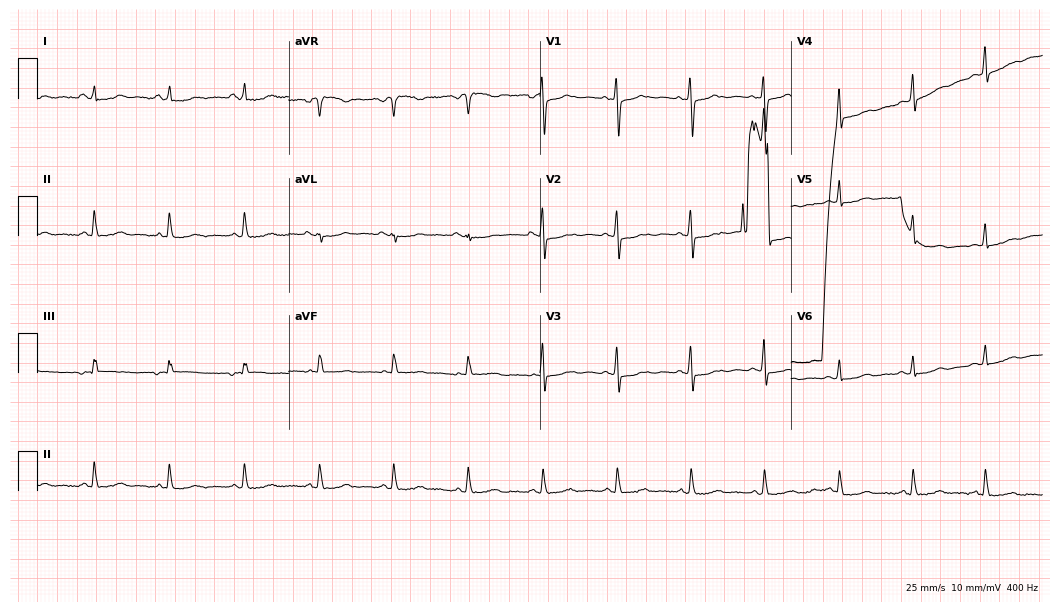
Standard 12-lead ECG recorded from a female patient, 63 years old. Read as a normal ECG.